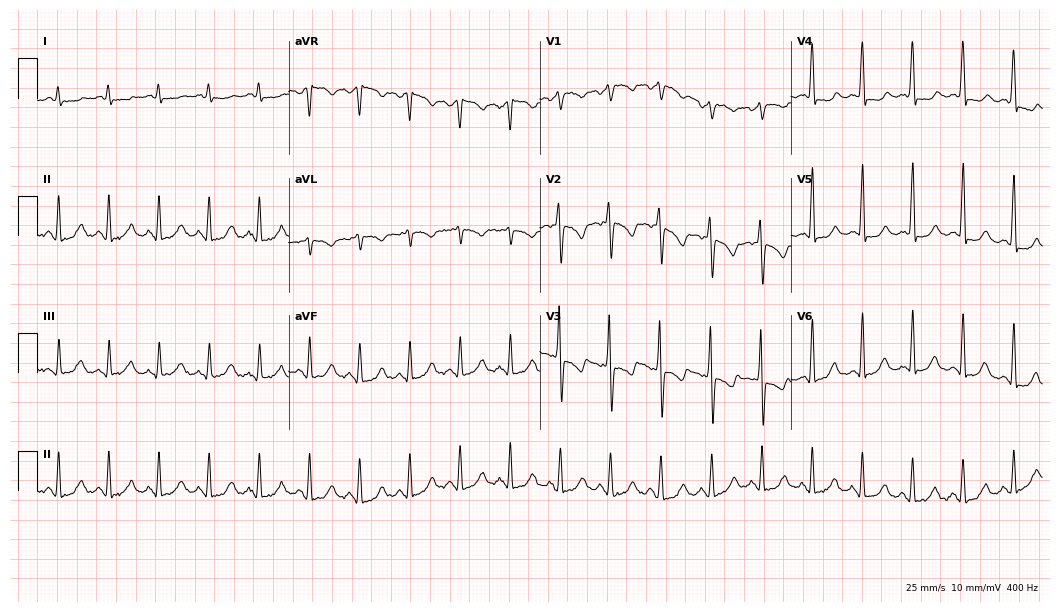
Standard 12-lead ECG recorded from a female, 17 years old. The tracing shows sinus tachycardia (a sinus rate of 100 beats per minute or more).